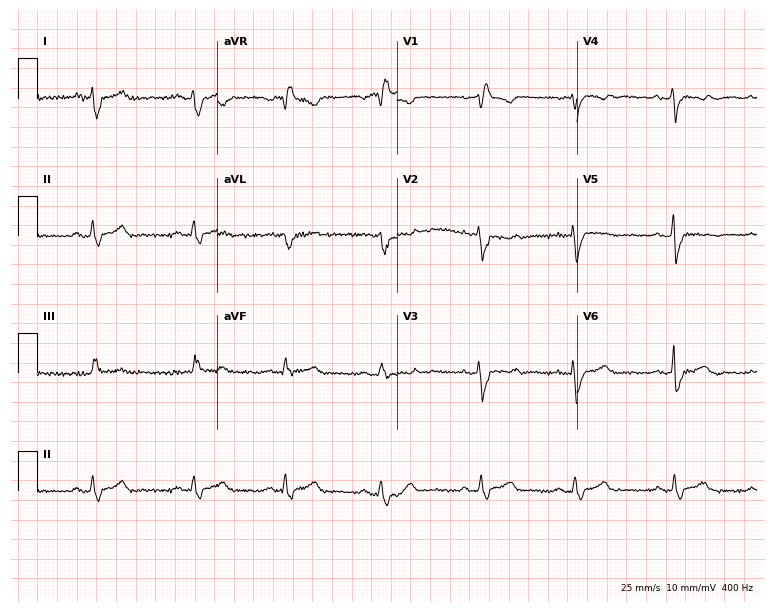
ECG (7.3-second recording at 400 Hz) — a female, 55 years old. Screened for six findings — first-degree AV block, right bundle branch block, left bundle branch block, sinus bradycardia, atrial fibrillation, sinus tachycardia — none is recorded. Other findings, if any, are not listed.